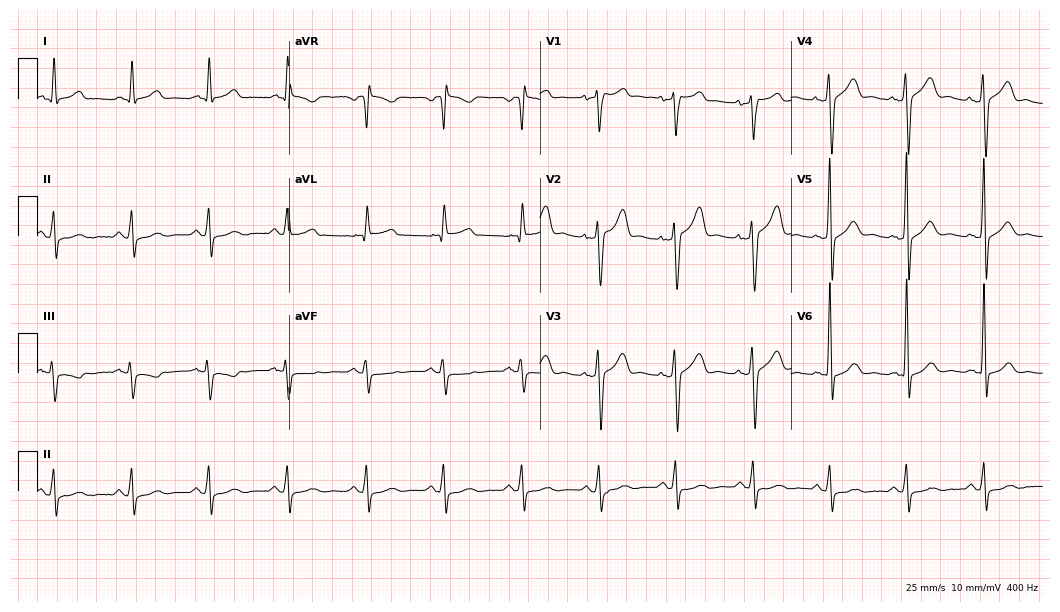
Resting 12-lead electrocardiogram (10.2-second recording at 400 Hz). Patient: a 76-year-old male. Read as a normal ECG.